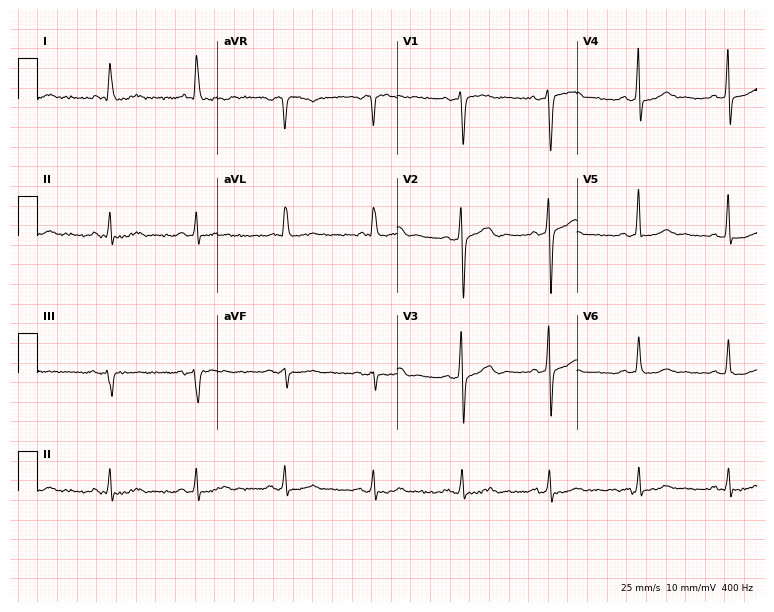
Resting 12-lead electrocardiogram. Patient: a male, 46 years old. None of these six findings is recorded: first-degree AV block, right bundle branch block, left bundle branch block, sinus bradycardia, atrial fibrillation, sinus tachycardia.